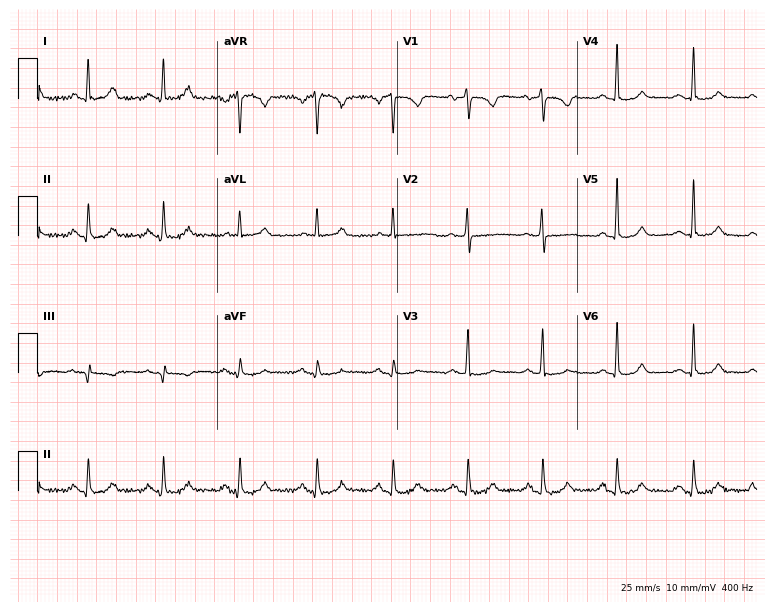
Electrocardiogram (7.3-second recording at 400 Hz), a woman, 59 years old. Of the six screened findings (first-degree AV block, right bundle branch block (RBBB), left bundle branch block (LBBB), sinus bradycardia, atrial fibrillation (AF), sinus tachycardia), none is recorded. Only these six findings were labelled.